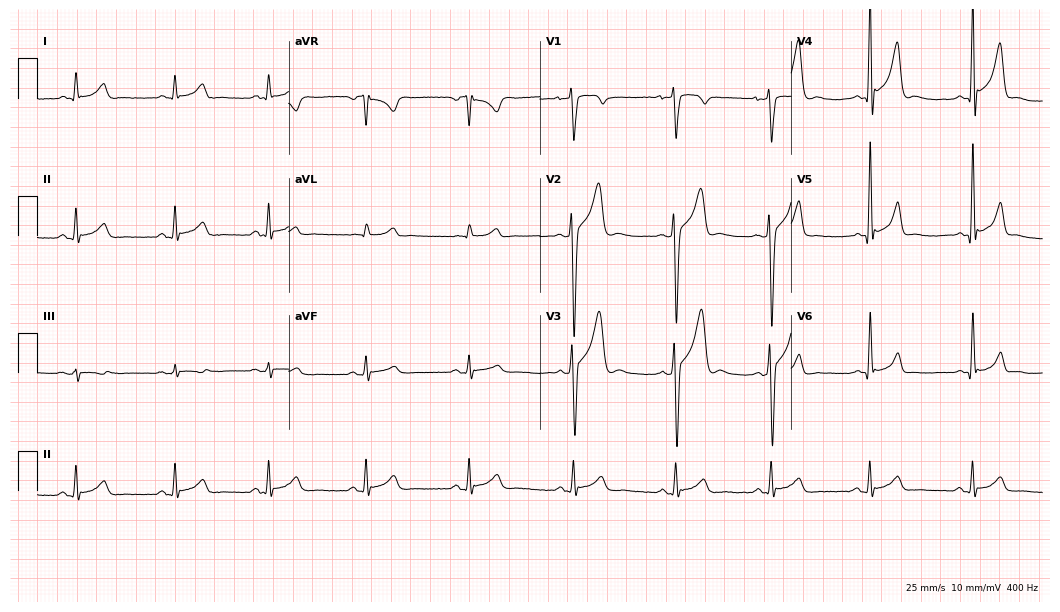
12-lead ECG from a man, 27 years old. No first-degree AV block, right bundle branch block, left bundle branch block, sinus bradycardia, atrial fibrillation or sinus tachycardia recorded for this tracing.